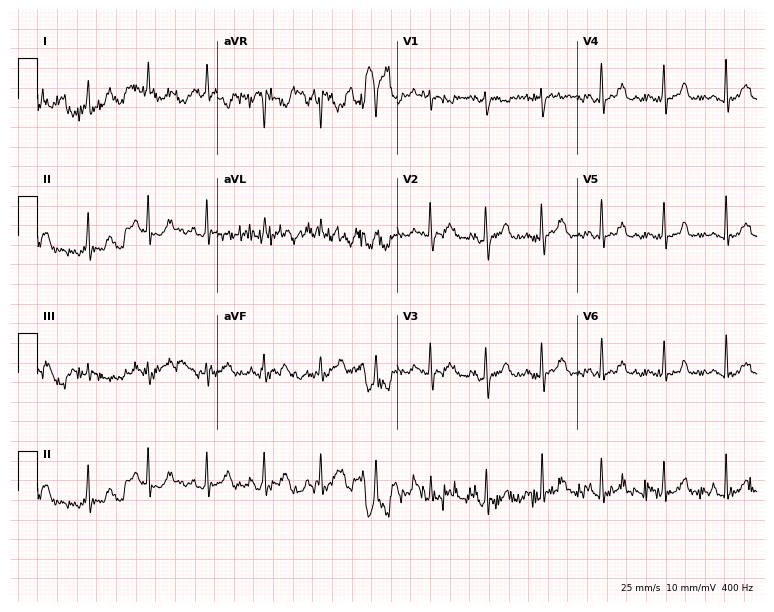
12-lead ECG from a woman, 33 years old. Screened for six findings — first-degree AV block, right bundle branch block, left bundle branch block, sinus bradycardia, atrial fibrillation, sinus tachycardia — none is recorded. Other findings, if any, are not listed.